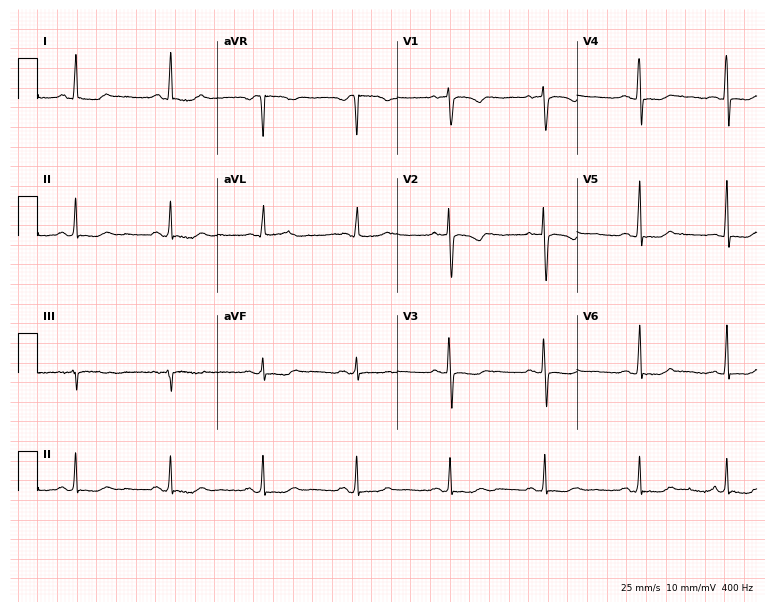
ECG — a 66-year-old female. Screened for six findings — first-degree AV block, right bundle branch block (RBBB), left bundle branch block (LBBB), sinus bradycardia, atrial fibrillation (AF), sinus tachycardia — none is recorded. Findings outside these six are not listed.